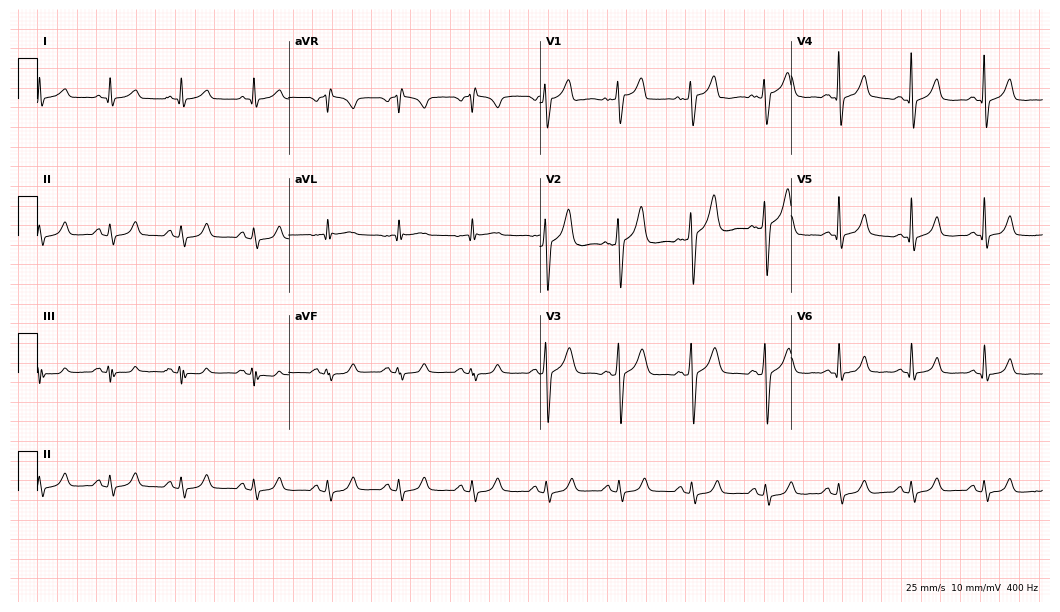
Electrocardiogram (10.2-second recording at 400 Hz), a 47-year-old man. Overall reading on record: normal ECG.